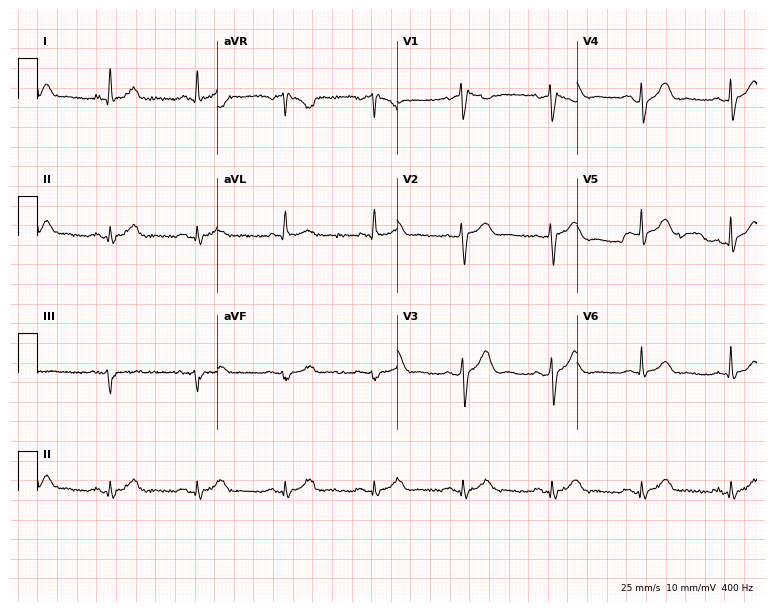
Resting 12-lead electrocardiogram (7.3-second recording at 400 Hz). Patient: a male, 54 years old. None of these six findings is recorded: first-degree AV block, right bundle branch block, left bundle branch block, sinus bradycardia, atrial fibrillation, sinus tachycardia.